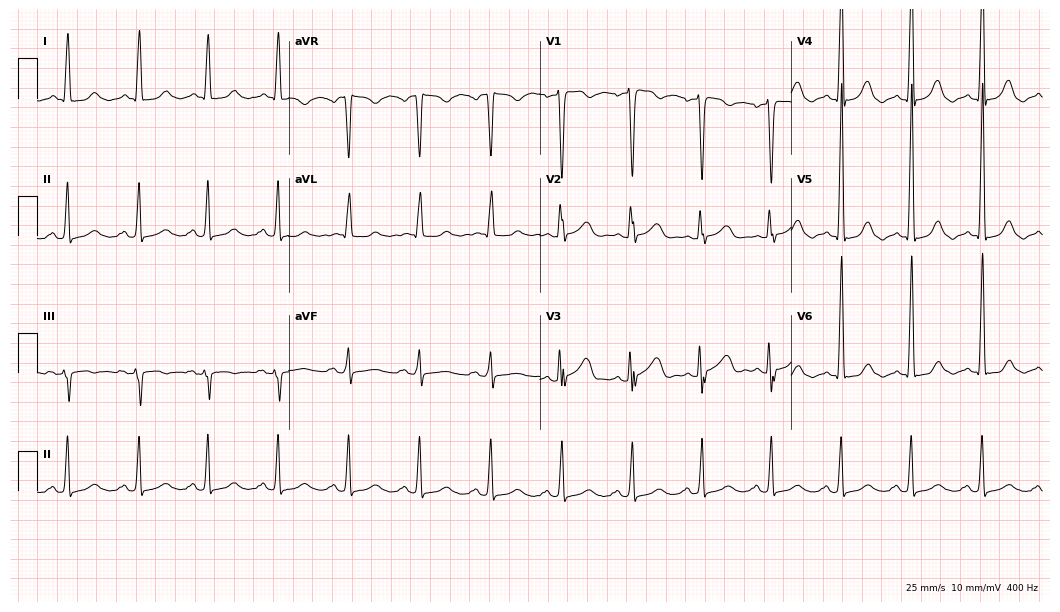
Electrocardiogram (10.2-second recording at 400 Hz), a female patient, 63 years old. Of the six screened findings (first-degree AV block, right bundle branch block, left bundle branch block, sinus bradycardia, atrial fibrillation, sinus tachycardia), none is recorded.